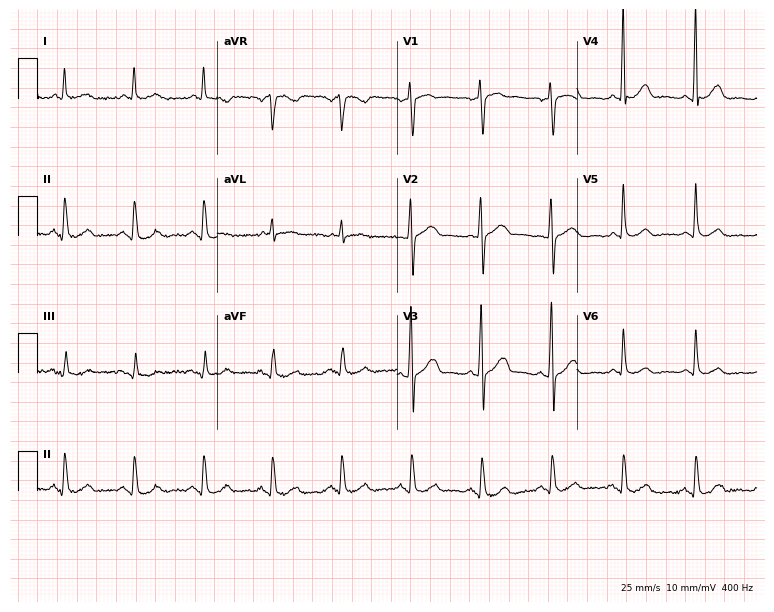
Standard 12-lead ECG recorded from a male patient, 59 years old. Read as a normal ECG.